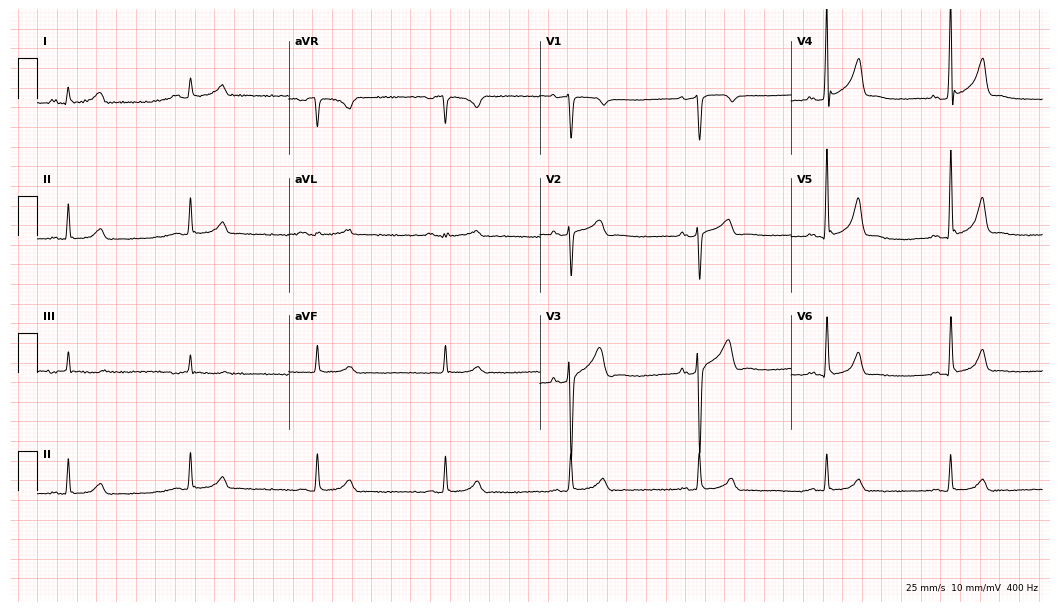
Resting 12-lead electrocardiogram. Patient: a male, 43 years old. The tracing shows sinus bradycardia (a sinus rate of 50 beats per minute or less).